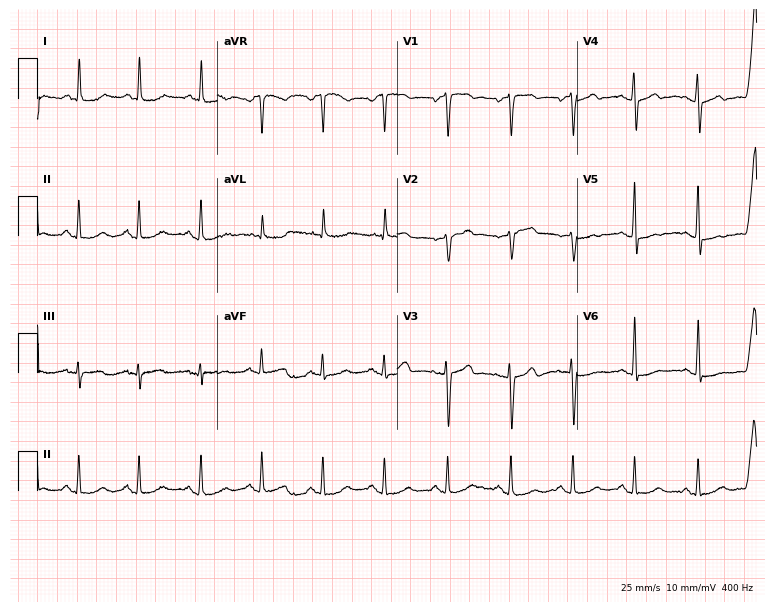
Resting 12-lead electrocardiogram. Patient: a 74-year-old female. Read as a normal ECG.